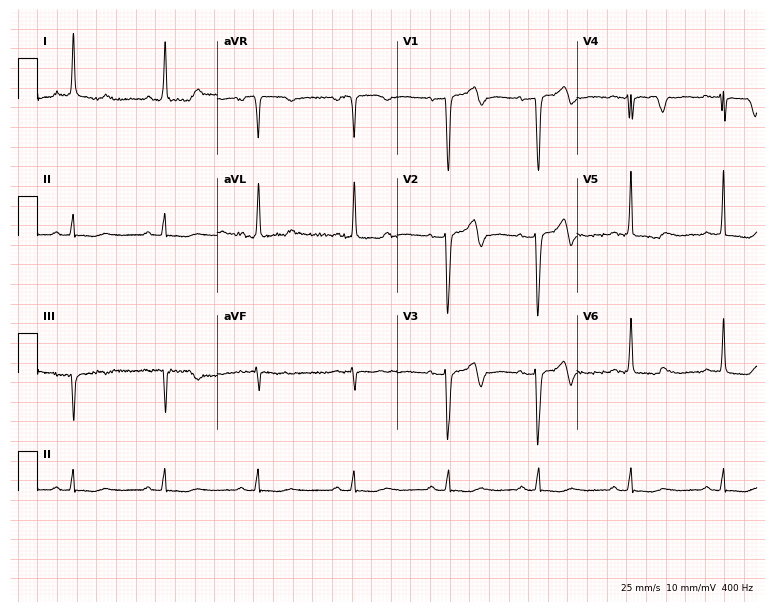
ECG (7.3-second recording at 400 Hz) — a female patient, 76 years old. Screened for six findings — first-degree AV block, right bundle branch block (RBBB), left bundle branch block (LBBB), sinus bradycardia, atrial fibrillation (AF), sinus tachycardia — none is recorded.